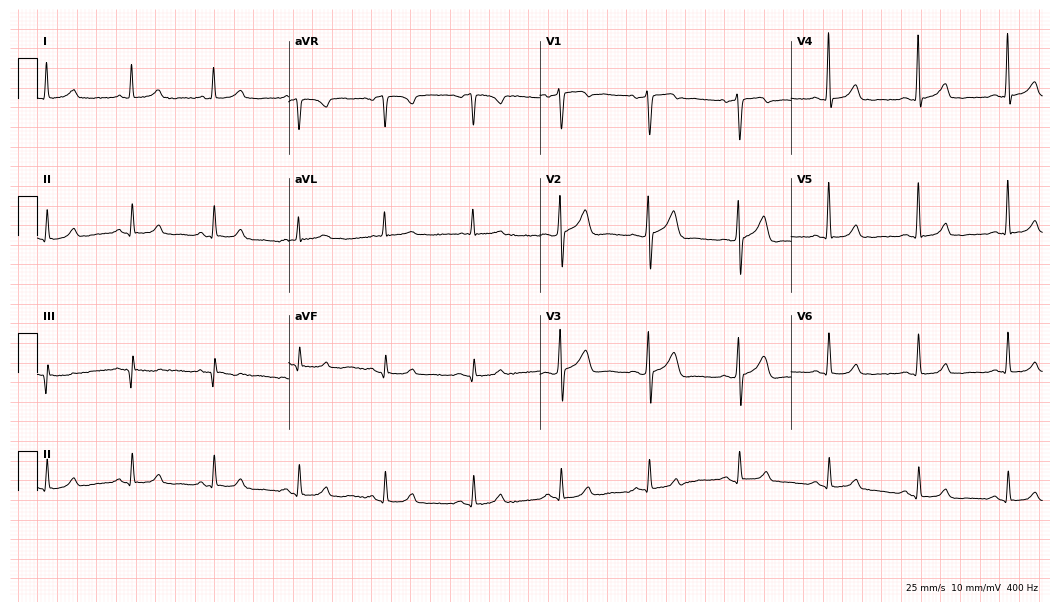
Electrocardiogram (10.2-second recording at 400 Hz), a male, 54 years old. Of the six screened findings (first-degree AV block, right bundle branch block, left bundle branch block, sinus bradycardia, atrial fibrillation, sinus tachycardia), none is recorded.